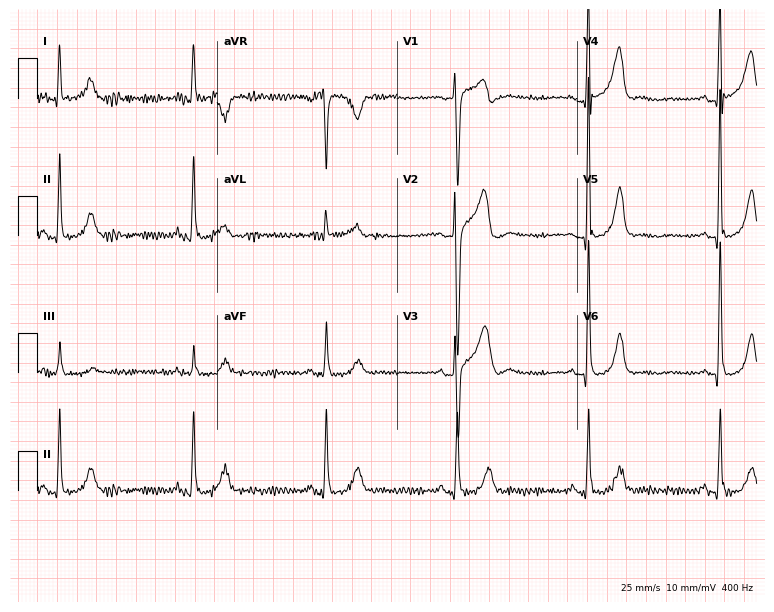
12-lead ECG (7.3-second recording at 400 Hz) from a man, 58 years old. Findings include sinus bradycardia (a sinus rate of 50 beats per minute or less).